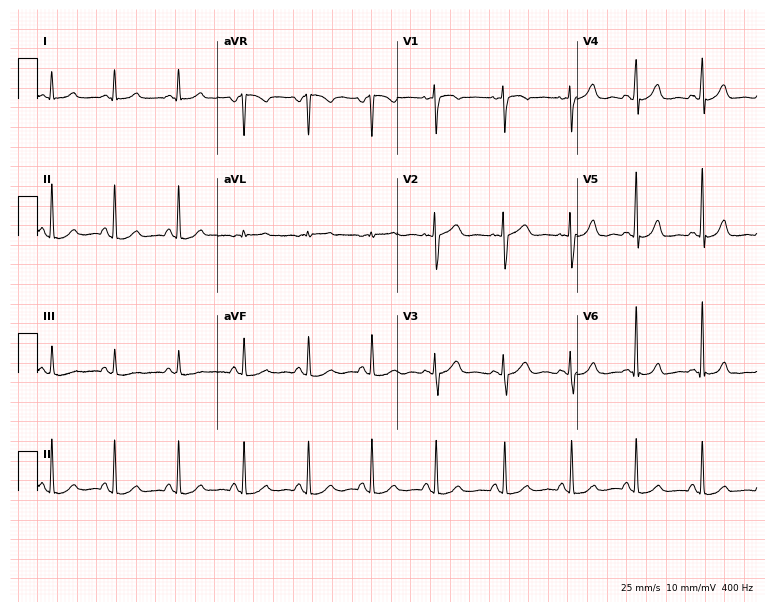
Standard 12-lead ECG recorded from a female patient, 51 years old (7.3-second recording at 400 Hz). Read as a normal ECG.